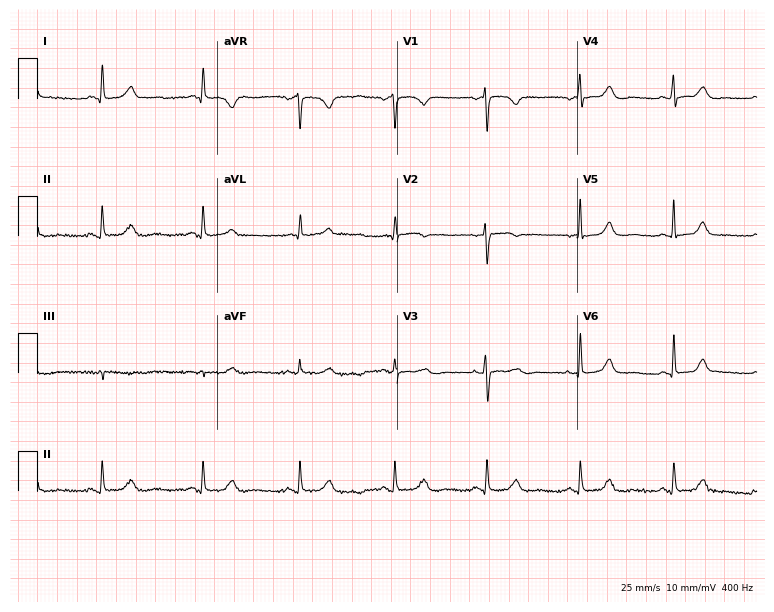
12-lead ECG from a 51-year-old female patient. Screened for six findings — first-degree AV block, right bundle branch block, left bundle branch block, sinus bradycardia, atrial fibrillation, sinus tachycardia — none is recorded. Only these six findings were labelled.